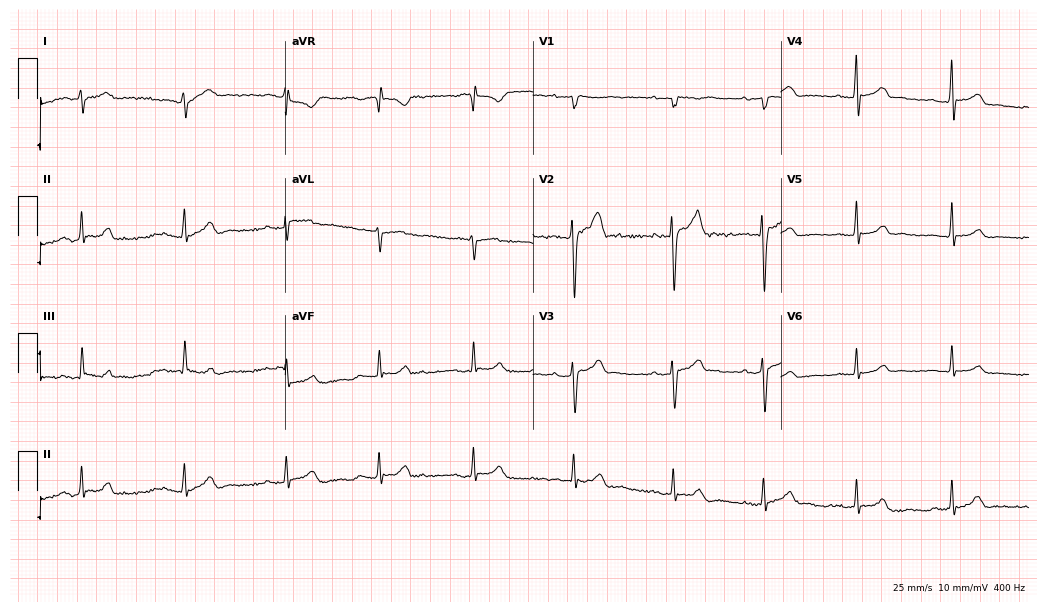
12-lead ECG from a 22-year-old man. No first-degree AV block, right bundle branch block, left bundle branch block, sinus bradycardia, atrial fibrillation or sinus tachycardia recorded for this tracing.